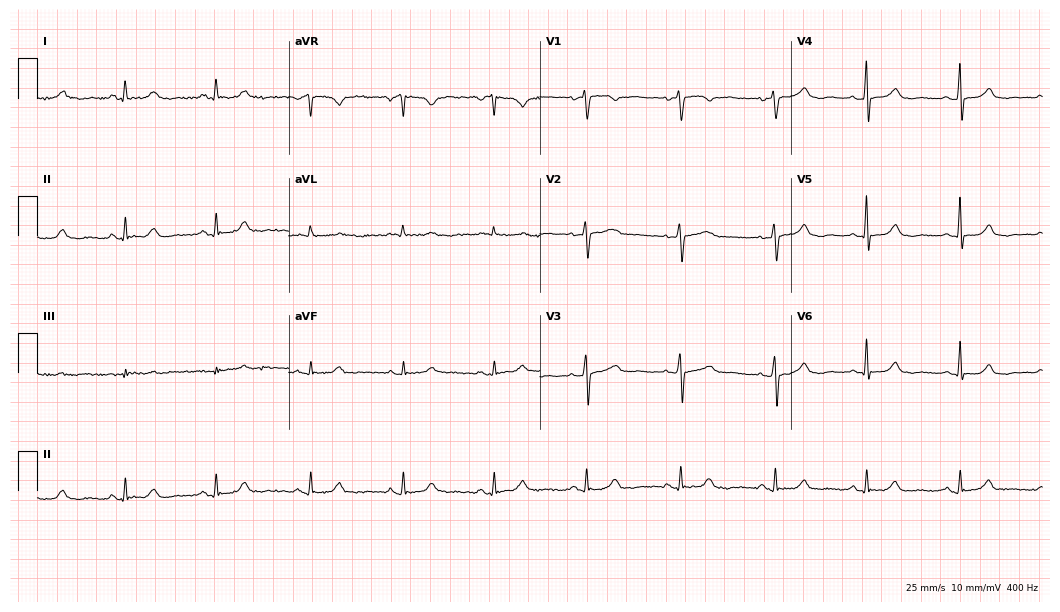
Standard 12-lead ECG recorded from a 54-year-old female patient. None of these six findings is recorded: first-degree AV block, right bundle branch block, left bundle branch block, sinus bradycardia, atrial fibrillation, sinus tachycardia.